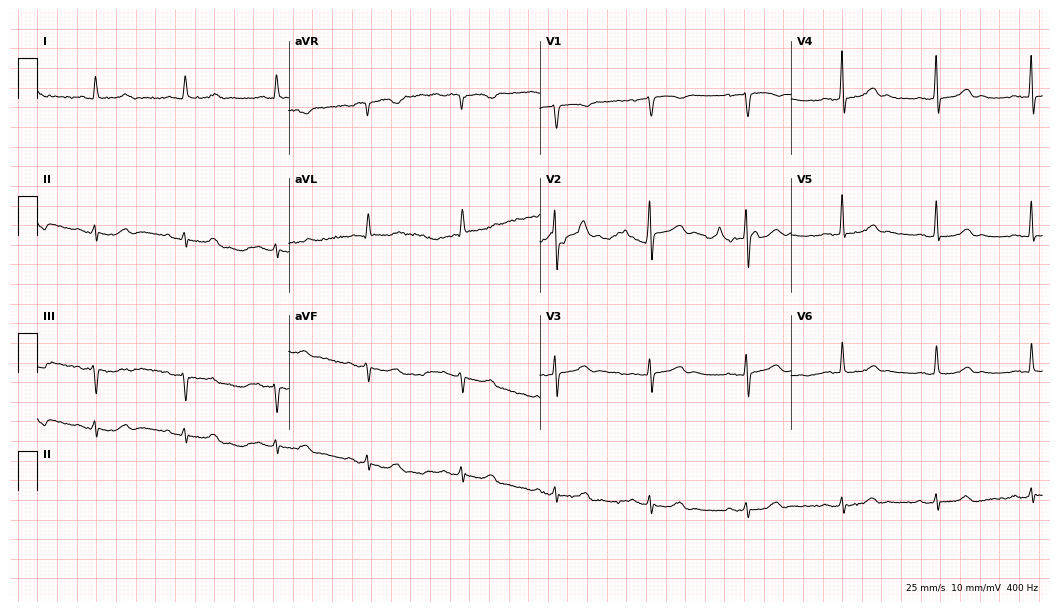
12-lead ECG from a male, 84 years old (10.2-second recording at 400 Hz). No first-degree AV block, right bundle branch block (RBBB), left bundle branch block (LBBB), sinus bradycardia, atrial fibrillation (AF) or sinus tachycardia recorded for this tracing.